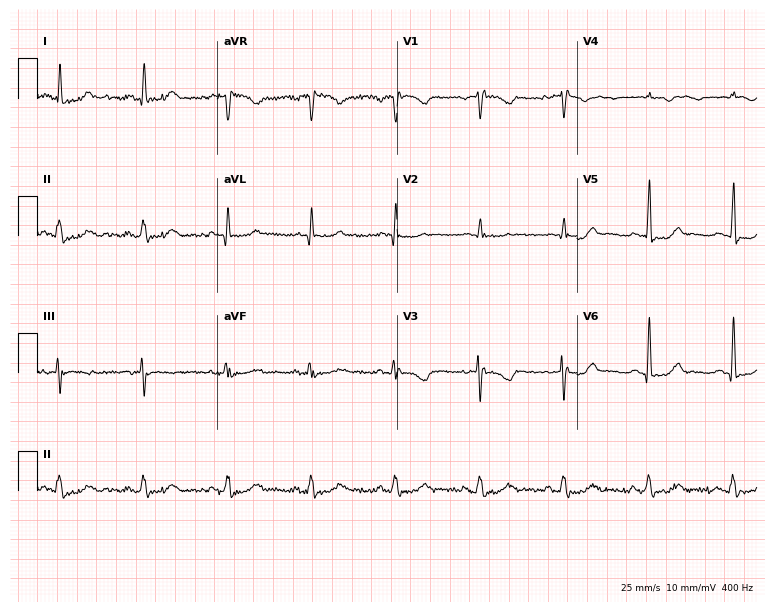
Electrocardiogram (7.3-second recording at 400 Hz), a 68-year-old female. Of the six screened findings (first-degree AV block, right bundle branch block (RBBB), left bundle branch block (LBBB), sinus bradycardia, atrial fibrillation (AF), sinus tachycardia), none is recorded.